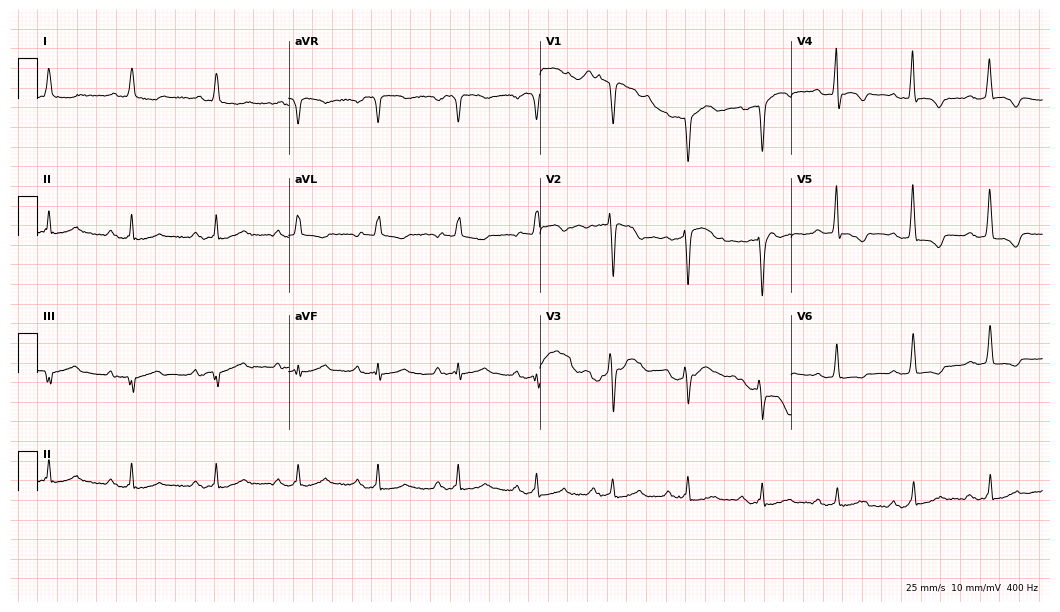
12-lead ECG (10.2-second recording at 400 Hz) from a male patient, 68 years old. Screened for six findings — first-degree AV block, right bundle branch block, left bundle branch block, sinus bradycardia, atrial fibrillation, sinus tachycardia — none is recorded. Findings outside these six are not listed.